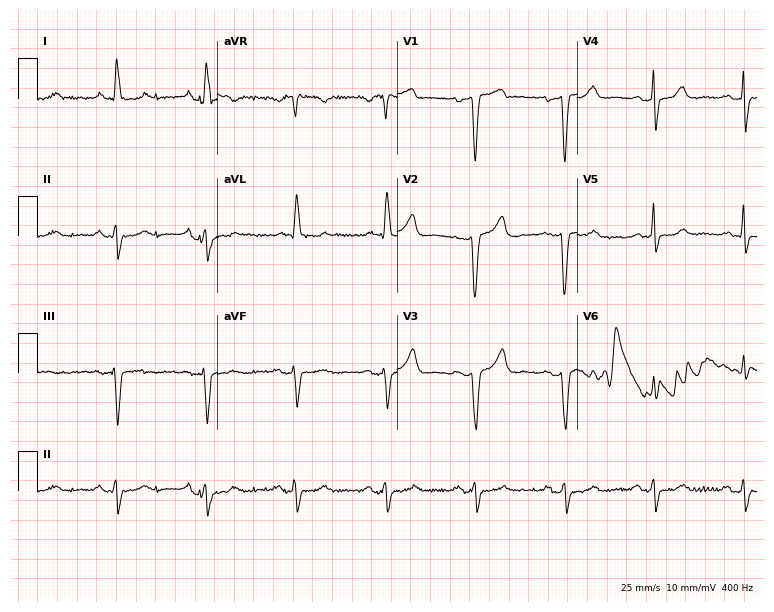
Standard 12-lead ECG recorded from a 51-year-old female patient. None of these six findings is recorded: first-degree AV block, right bundle branch block (RBBB), left bundle branch block (LBBB), sinus bradycardia, atrial fibrillation (AF), sinus tachycardia.